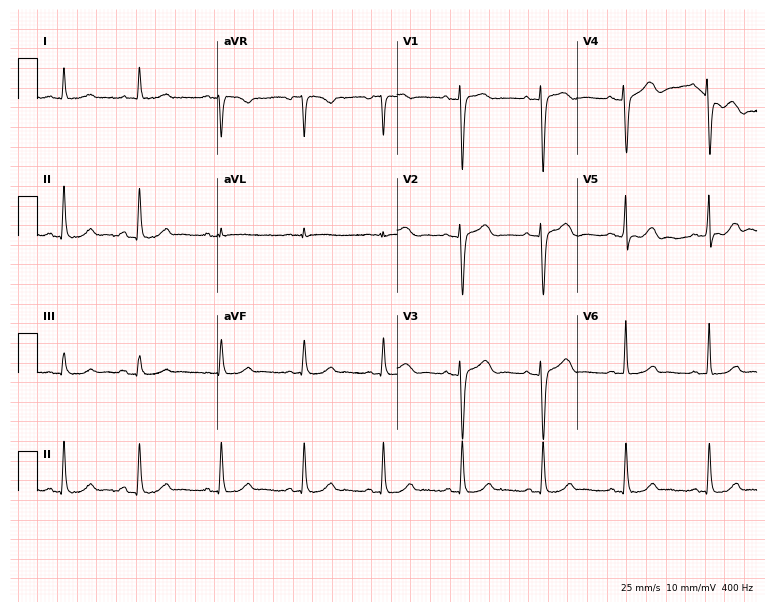
12-lead ECG from a 41-year-old female (7.3-second recording at 400 Hz). Recorded interpretation: within normal limits.